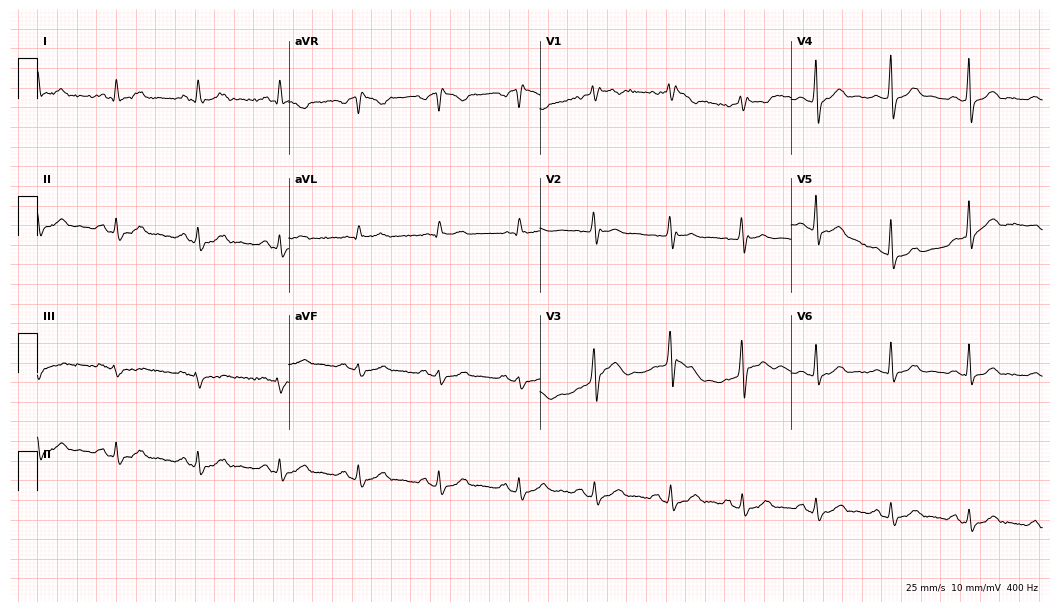
Electrocardiogram (10.2-second recording at 400 Hz), a 44-year-old man. Of the six screened findings (first-degree AV block, right bundle branch block, left bundle branch block, sinus bradycardia, atrial fibrillation, sinus tachycardia), none is recorded. Only these six findings were labelled.